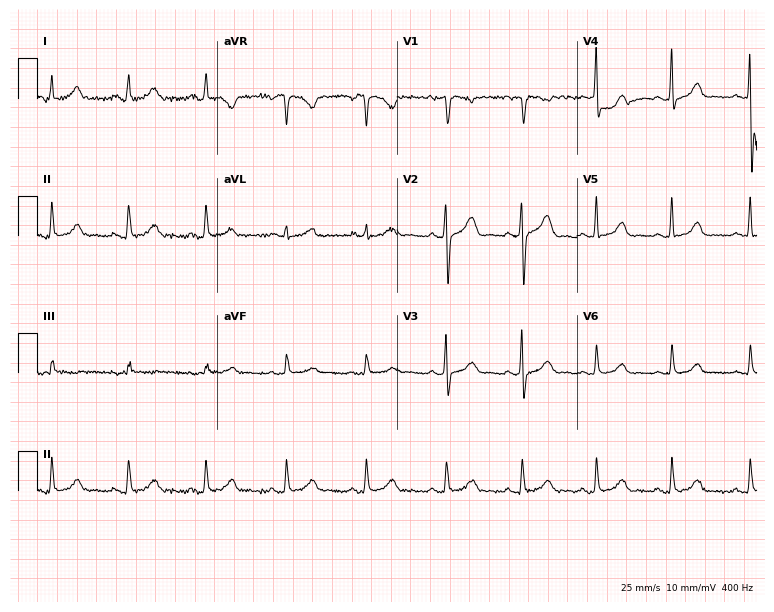
Standard 12-lead ECG recorded from a female, 31 years old. Read as a normal ECG.